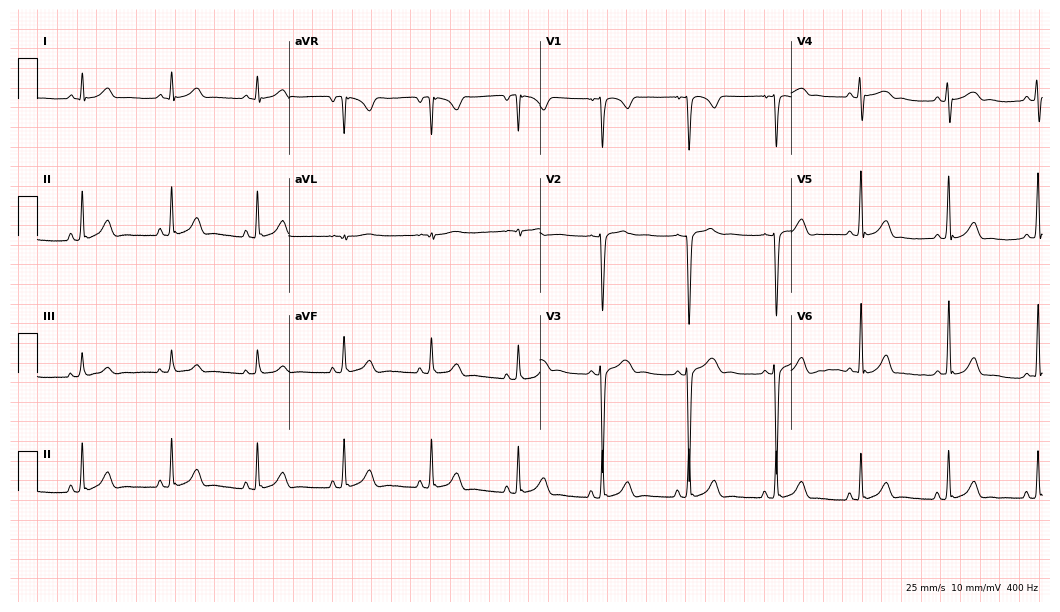
Standard 12-lead ECG recorded from a 17-year-old male patient (10.2-second recording at 400 Hz). Read as a normal ECG.